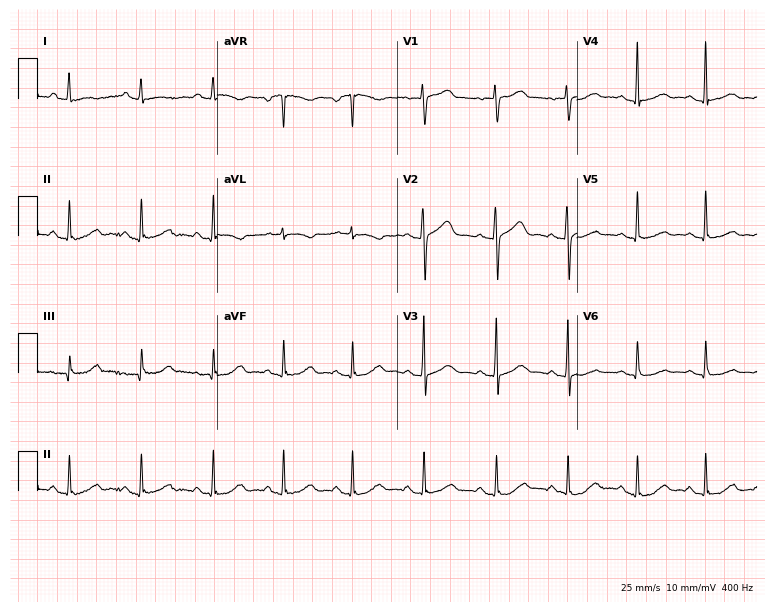
Resting 12-lead electrocardiogram. Patient: a 60-year-old female. Read as a normal ECG.